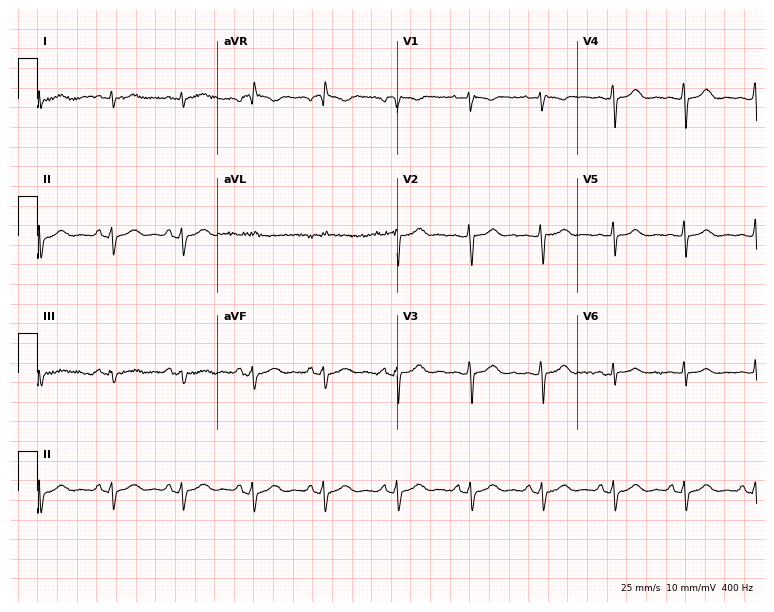
Electrocardiogram (7.3-second recording at 400 Hz), a 37-year-old female patient. Of the six screened findings (first-degree AV block, right bundle branch block, left bundle branch block, sinus bradycardia, atrial fibrillation, sinus tachycardia), none is recorded.